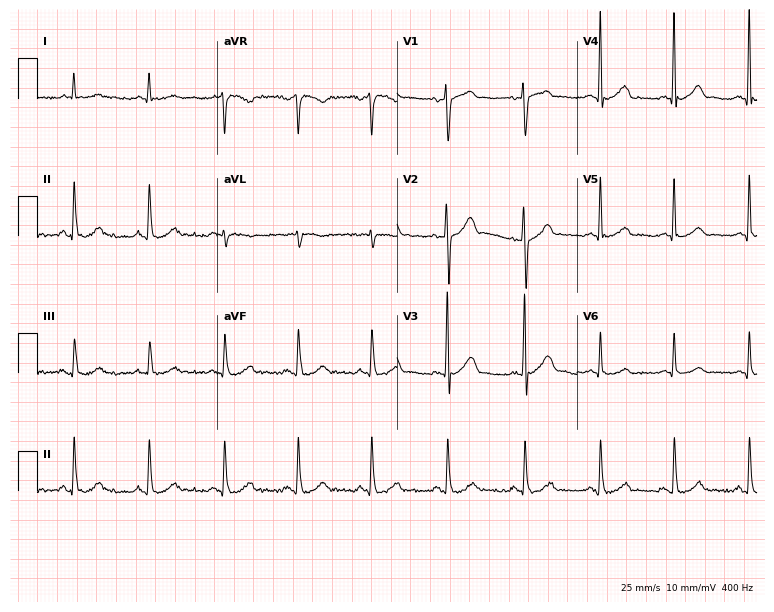
Resting 12-lead electrocardiogram (7.3-second recording at 400 Hz). Patient: a 78-year-old man. Read as a normal ECG.